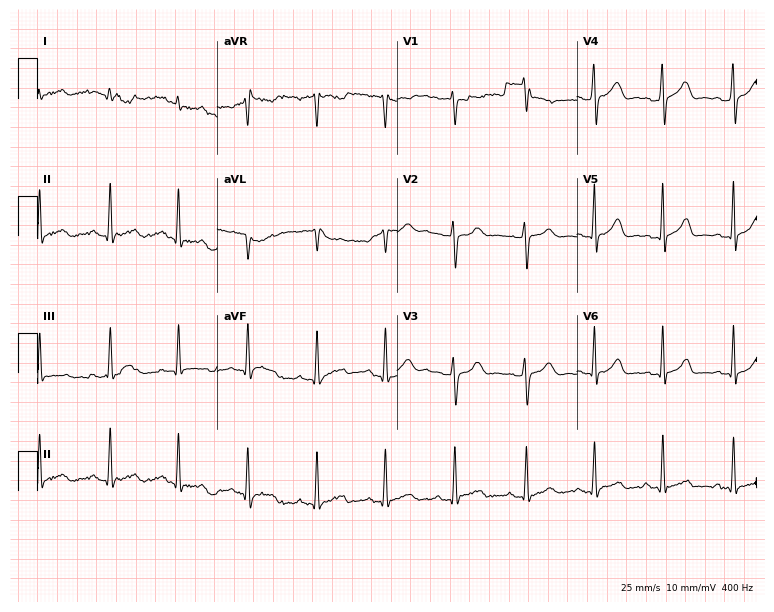
12-lead ECG (7.3-second recording at 400 Hz) from a 24-year-old woman. Screened for six findings — first-degree AV block, right bundle branch block, left bundle branch block, sinus bradycardia, atrial fibrillation, sinus tachycardia — none is recorded.